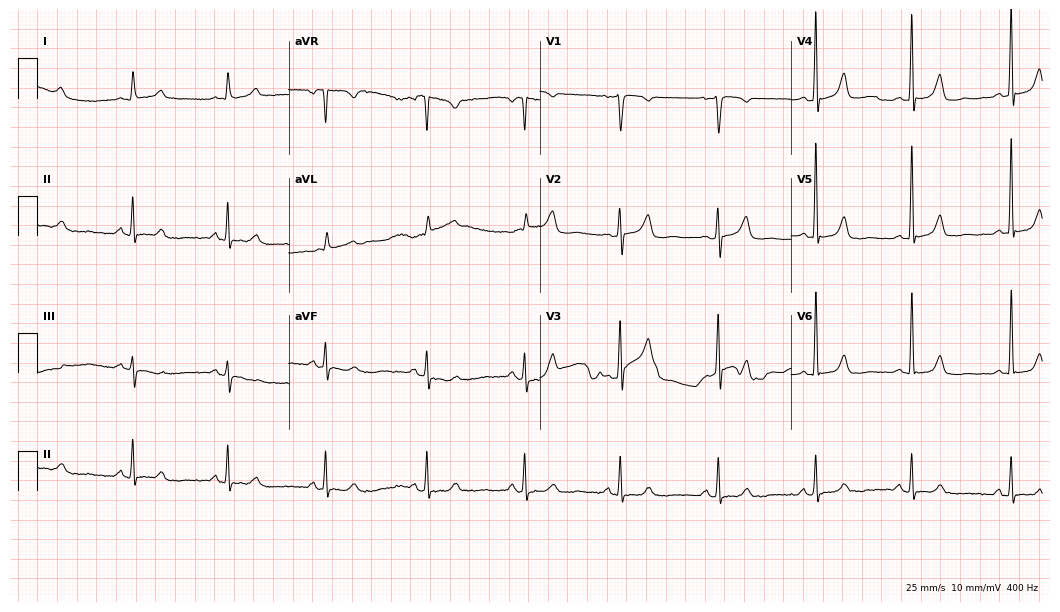
ECG — a woman, 82 years old. Labelled as a normal ECG.